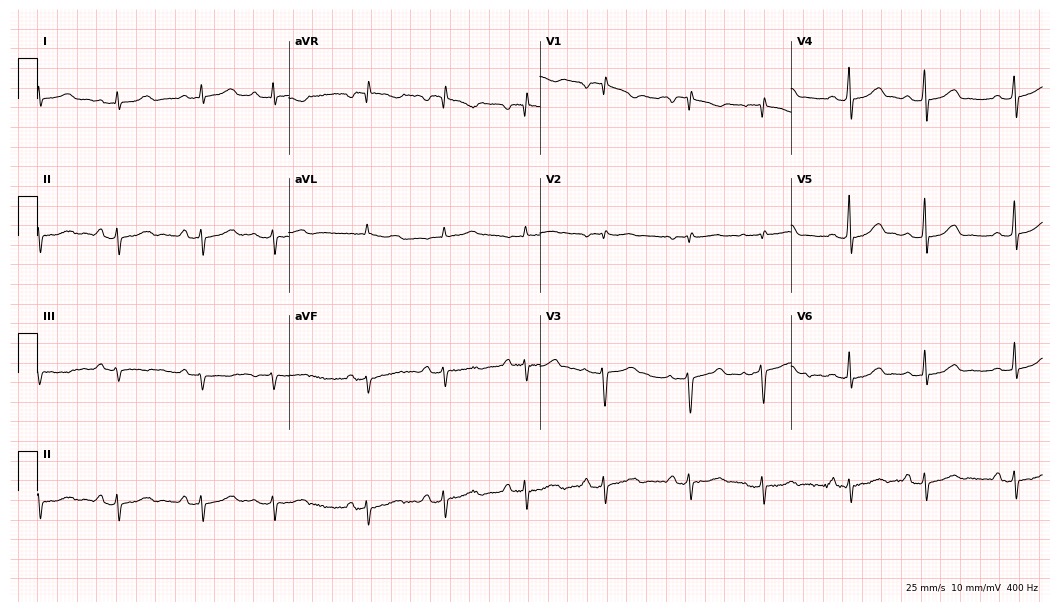
Electrocardiogram, a female, 17 years old. Overall reading on record: normal ECG.